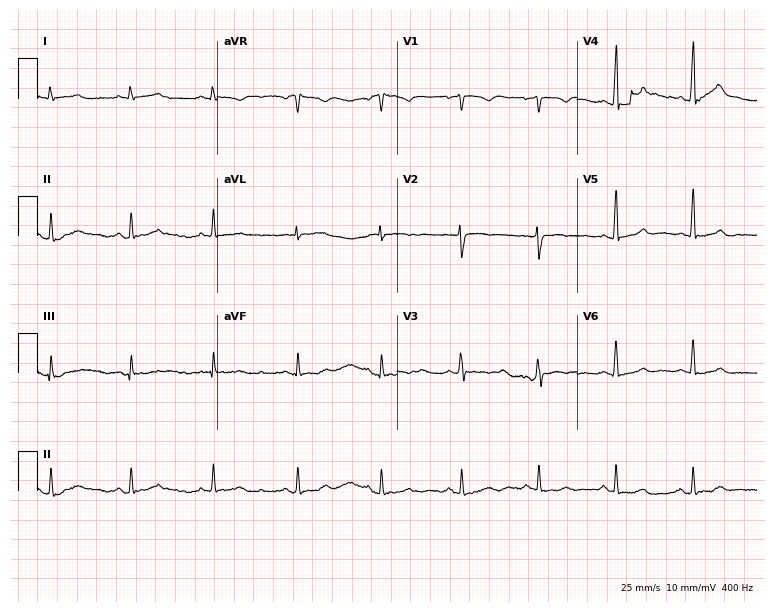
ECG — a female, 30 years old. Screened for six findings — first-degree AV block, right bundle branch block (RBBB), left bundle branch block (LBBB), sinus bradycardia, atrial fibrillation (AF), sinus tachycardia — none is recorded.